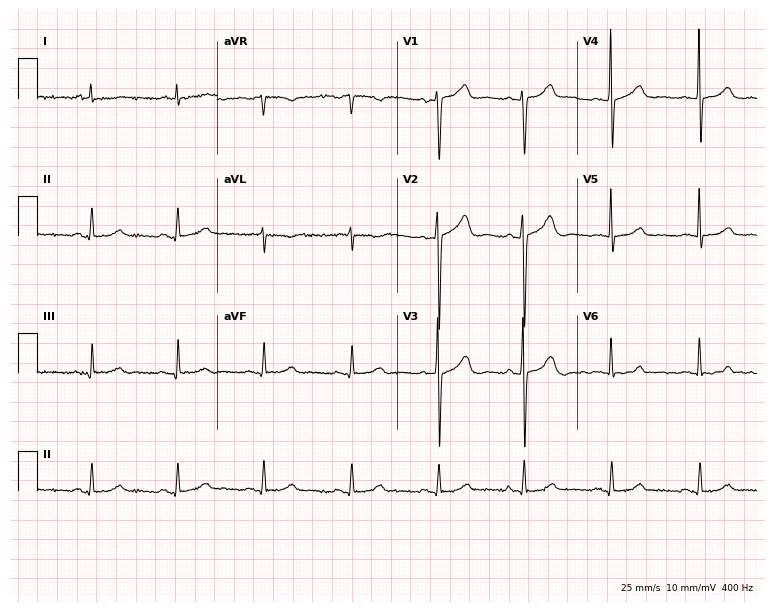
Electrocardiogram, a woman, 80 years old. Of the six screened findings (first-degree AV block, right bundle branch block, left bundle branch block, sinus bradycardia, atrial fibrillation, sinus tachycardia), none is recorded.